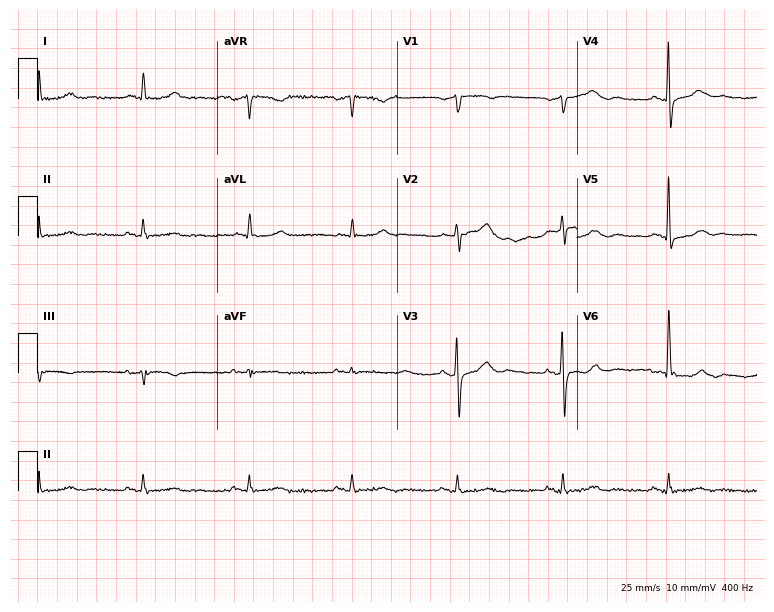
12-lead ECG (7.3-second recording at 400 Hz) from a man, 75 years old. Screened for six findings — first-degree AV block, right bundle branch block, left bundle branch block, sinus bradycardia, atrial fibrillation, sinus tachycardia — none is recorded.